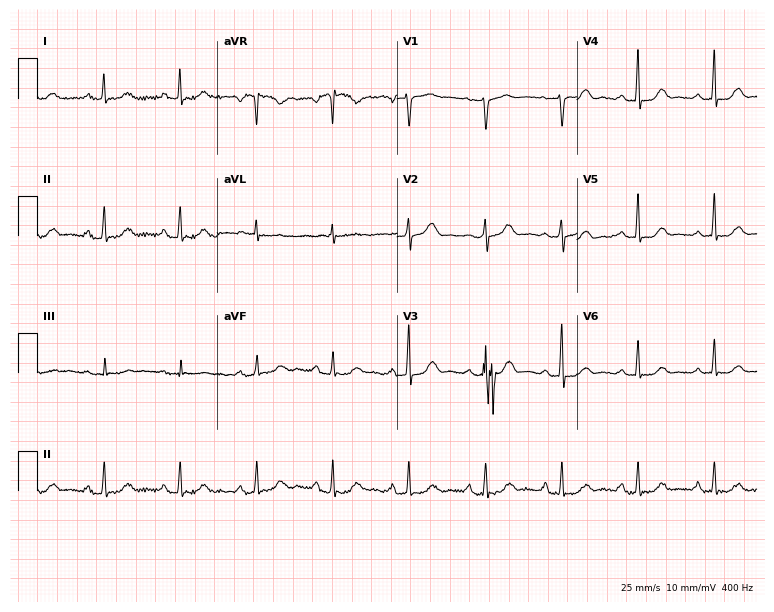
ECG (7.3-second recording at 400 Hz) — a female patient, 57 years old. Screened for six findings — first-degree AV block, right bundle branch block, left bundle branch block, sinus bradycardia, atrial fibrillation, sinus tachycardia — none is recorded. Only these six findings were labelled.